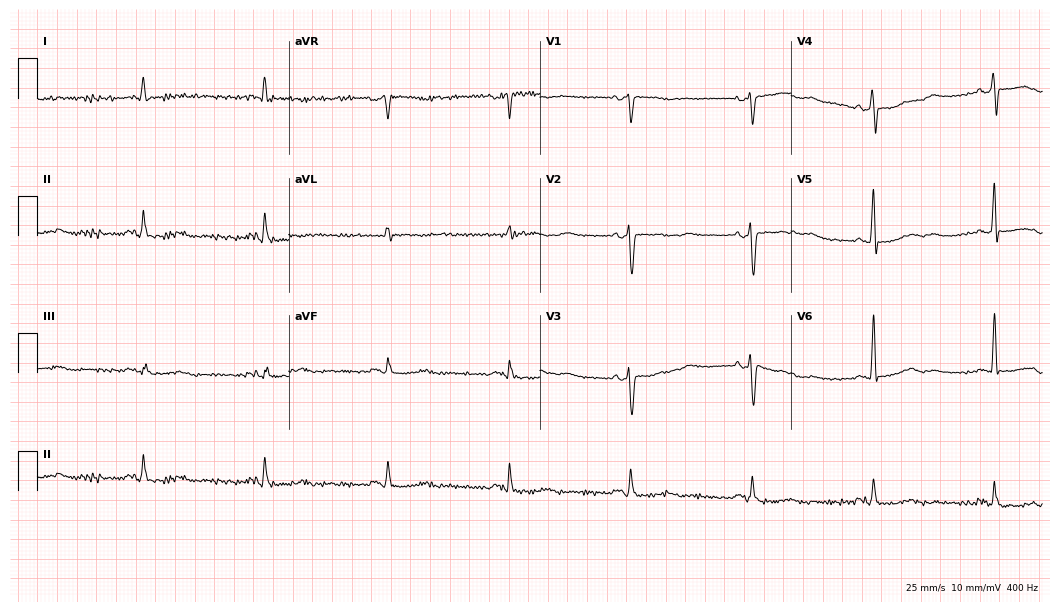
ECG (10.2-second recording at 400 Hz) — a man, 73 years old. Findings include sinus bradycardia (a sinus rate of 50 beats per minute or less).